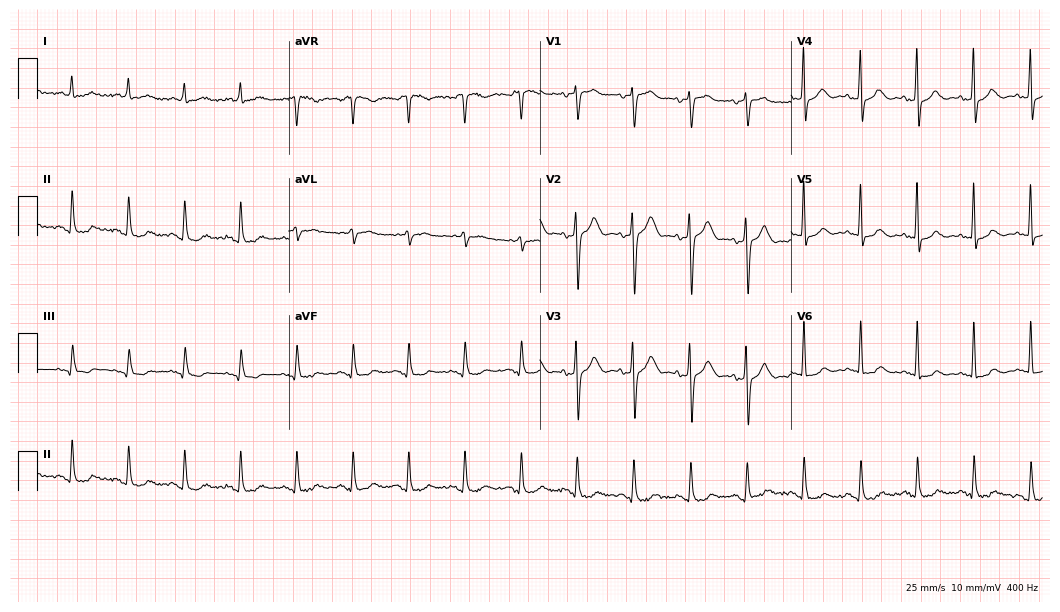
12-lead ECG from a female patient, 83 years old. Findings include sinus tachycardia (a sinus rate of 100 beats per minute or more).